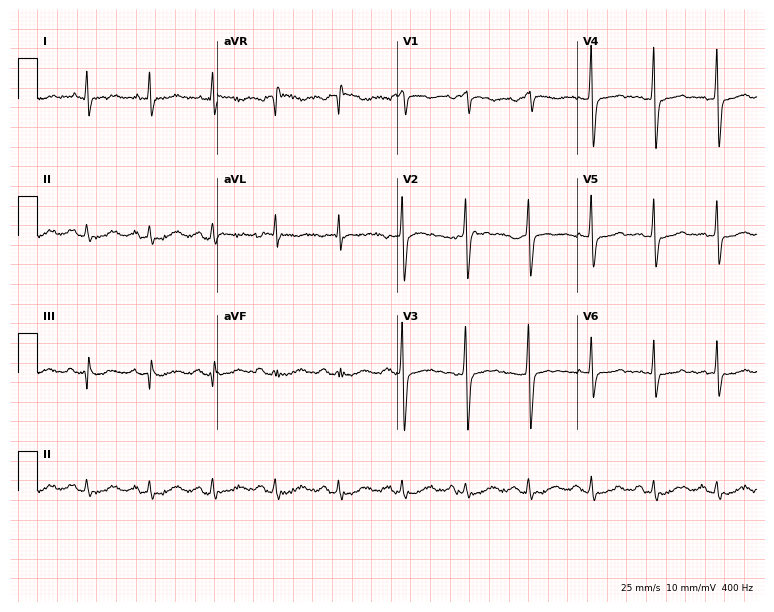
ECG — a male patient, 55 years old. Screened for six findings — first-degree AV block, right bundle branch block (RBBB), left bundle branch block (LBBB), sinus bradycardia, atrial fibrillation (AF), sinus tachycardia — none is recorded.